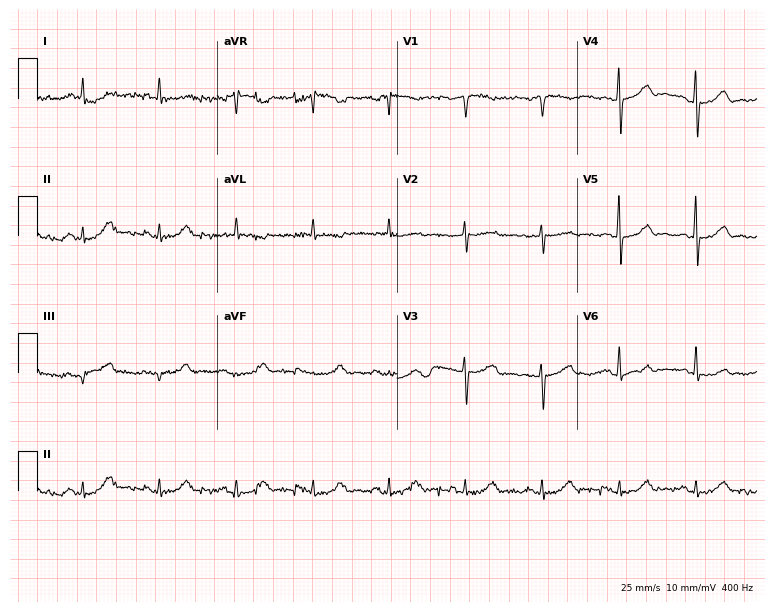
Standard 12-lead ECG recorded from an 81-year-old female patient (7.3-second recording at 400 Hz). None of these six findings is recorded: first-degree AV block, right bundle branch block (RBBB), left bundle branch block (LBBB), sinus bradycardia, atrial fibrillation (AF), sinus tachycardia.